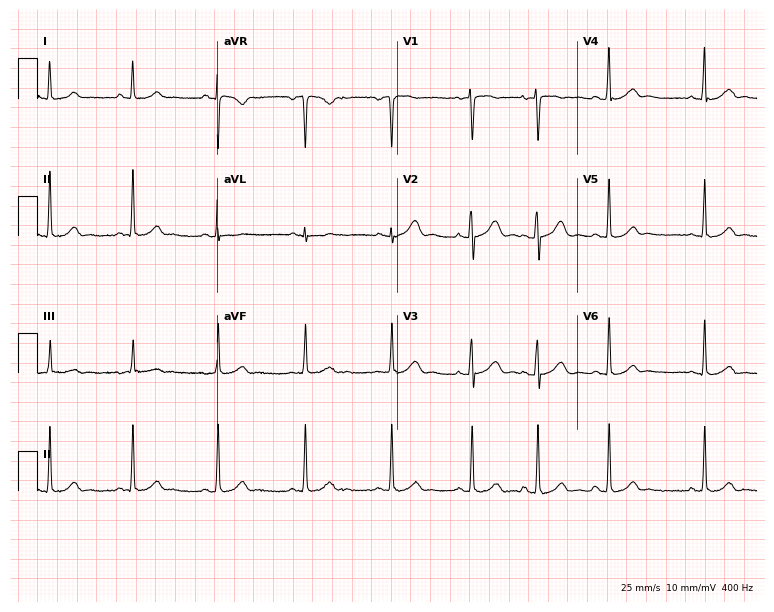
ECG — a woman, 17 years old. Labelled as a normal ECG.